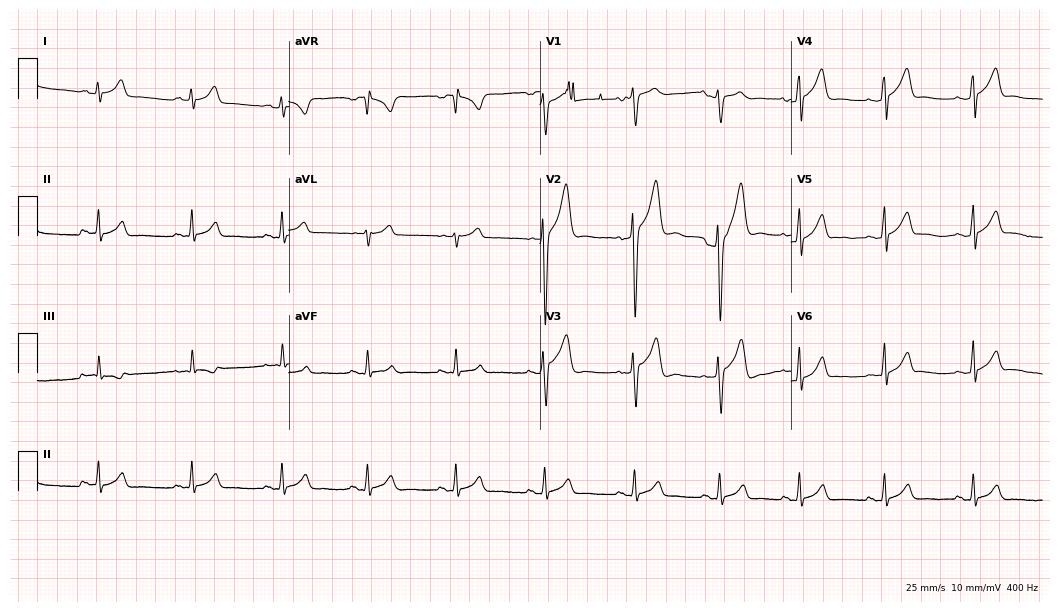
Standard 12-lead ECG recorded from a male patient, 24 years old. None of these six findings is recorded: first-degree AV block, right bundle branch block, left bundle branch block, sinus bradycardia, atrial fibrillation, sinus tachycardia. Other findings, if any, are not listed.